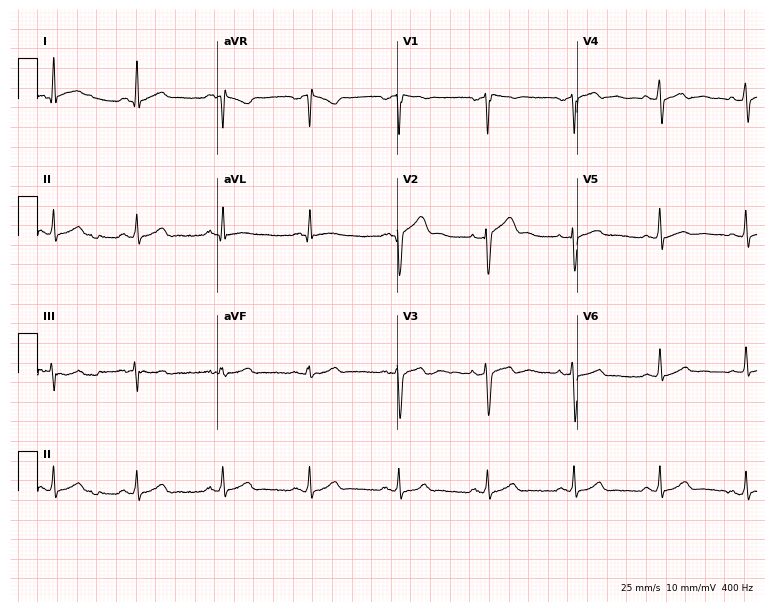
12-lead ECG (7.3-second recording at 400 Hz) from a 33-year-old male patient. Labelled as a normal ECG.